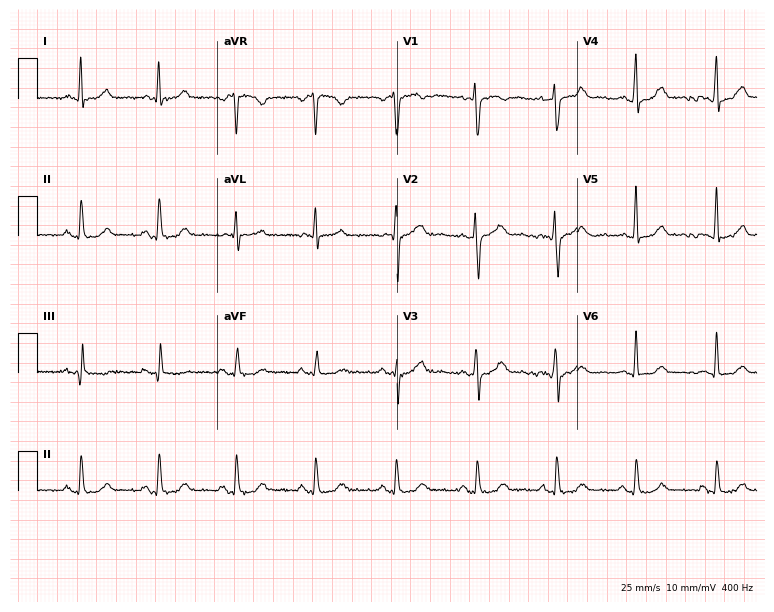
Resting 12-lead electrocardiogram. Patient: a 50-year-old woman. None of these six findings is recorded: first-degree AV block, right bundle branch block (RBBB), left bundle branch block (LBBB), sinus bradycardia, atrial fibrillation (AF), sinus tachycardia. Findings outside these six are not listed.